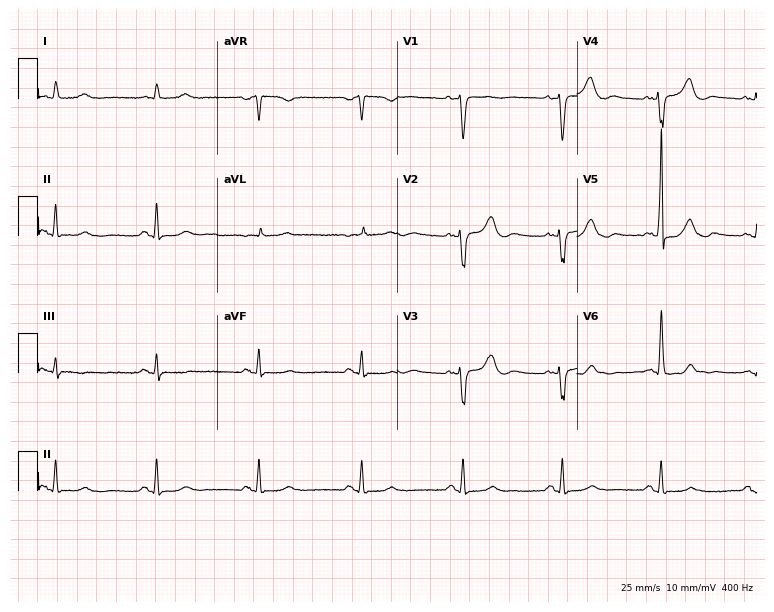
Electrocardiogram (7.3-second recording at 400 Hz), a 71-year-old male patient. Of the six screened findings (first-degree AV block, right bundle branch block, left bundle branch block, sinus bradycardia, atrial fibrillation, sinus tachycardia), none is recorded.